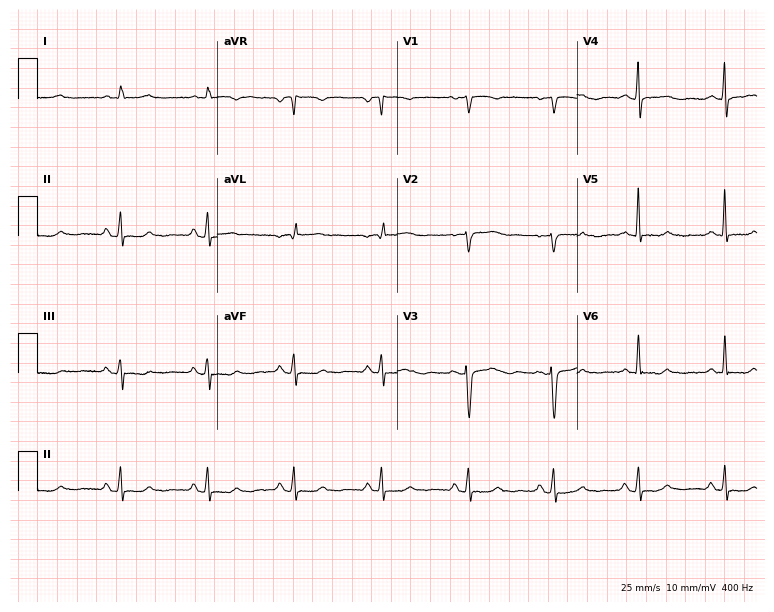
ECG (7.3-second recording at 400 Hz) — a female patient, 57 years old. Screened for six findings — first-degree AV block, right bundle branch block, left bundle branch block, sinus bradycardia, atrial fibrillation, sinus tachycardia — none is recorded.